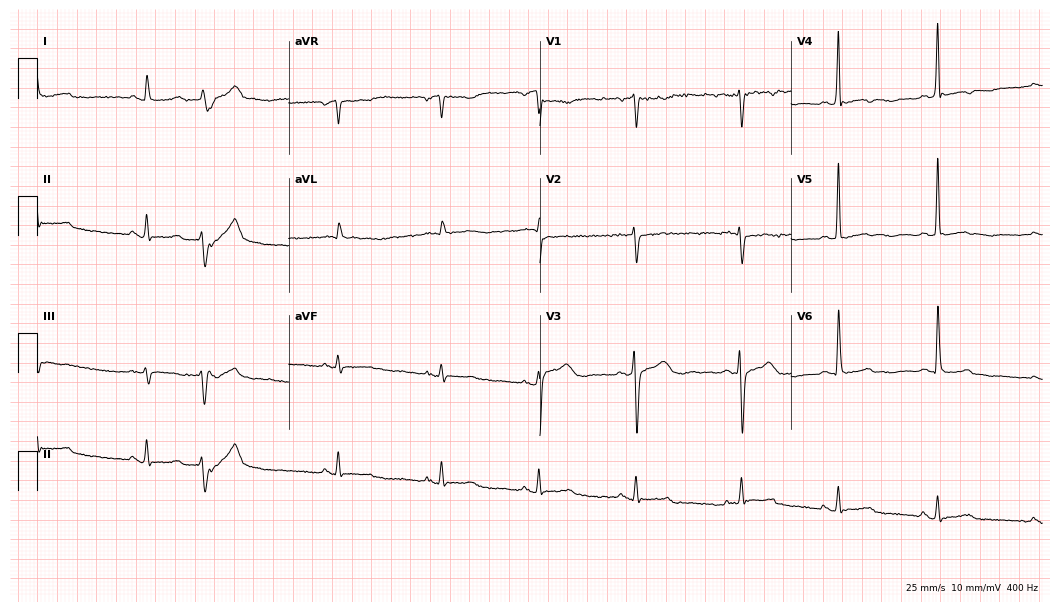
12-lead ECG from a male patient, 68 years old. No first-degree AV block, right bundle branch block, left bundle branch block, sinus bradycardia, atrial fibrillation or sinus tachycardia recorded for this tracing.